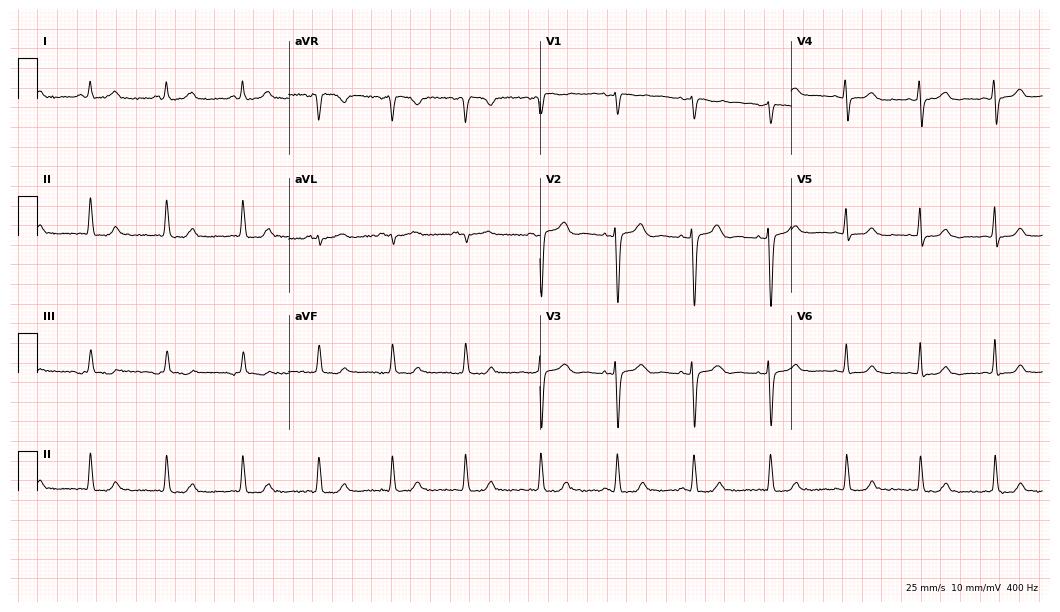
Standard 12-lead ECG recorded from a female, 51 years old. Read as a normal ECG.